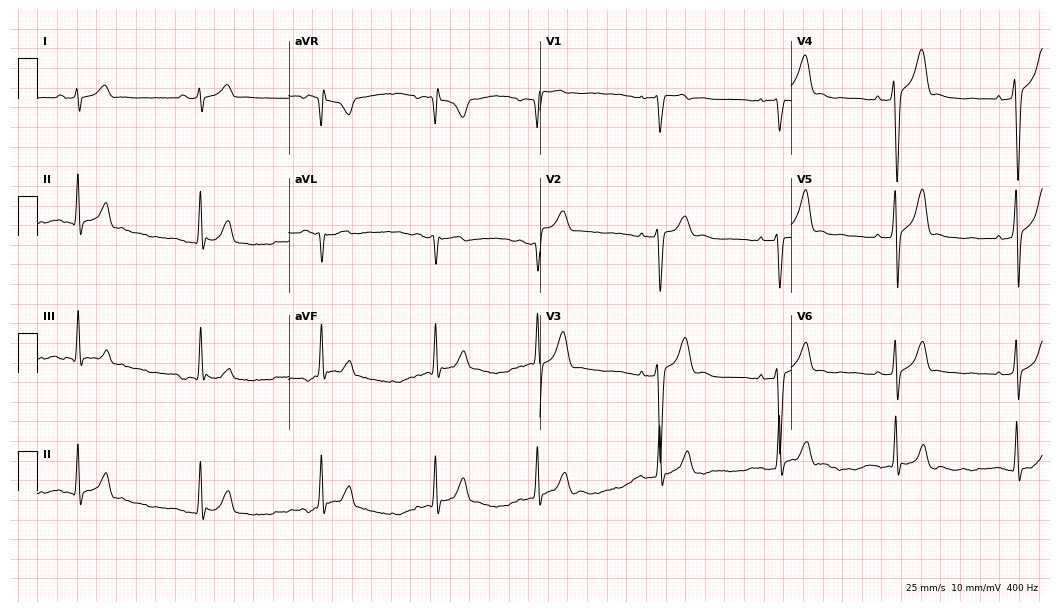
Resting 12-lead electrocardiogram (10.2-second recording at 400 Hz). Patient: a 23-year-old male. The tracing shows sinus bradycardia (a sinus rate of 50 beats per minute or less).